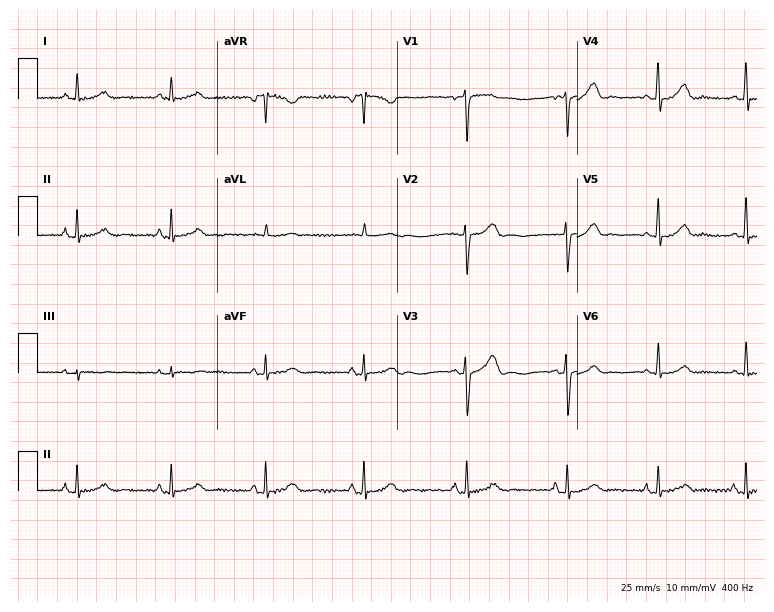
Electrocardiogram, a 44-year-old female patient. Overall reading on record: normal ECG.